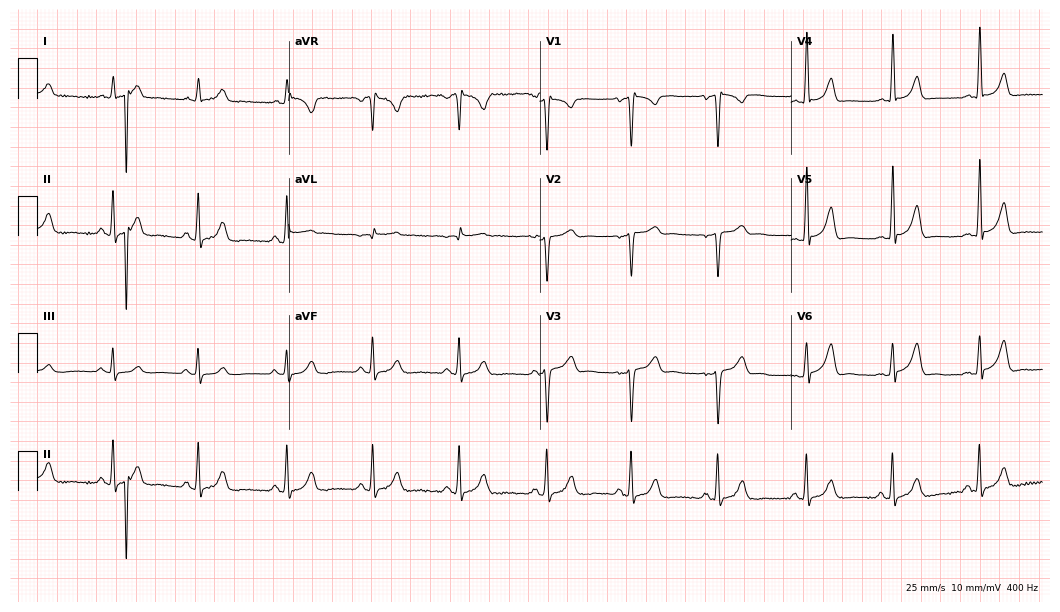
Electrocardiogram (10.2-second recording at 400 Hz), a 43-year-old male patient. Of the six screened findings (first-degree AV block, right bundle branch block, left bundle branch block, sinus bradycardia, atrial fibrillation, sinus tachycardia), none is recorded. Findings outside these six are not listed.